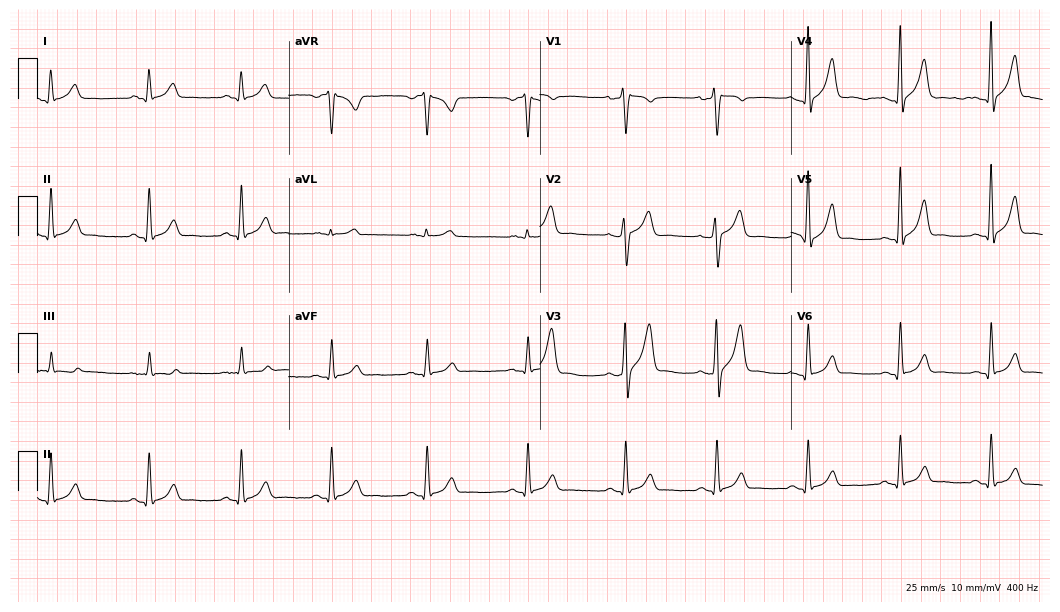
Electrocardiogram (10.2-second recording at 400 Hz), a 30-year-old male. Of the six screened findings (first-degree AV block, right bundle branch block, left bundle branch block, sinus bradycardia, atrial fibrillation, sinus tachycardia), none is recorded. Other findings, if any, are not listed.